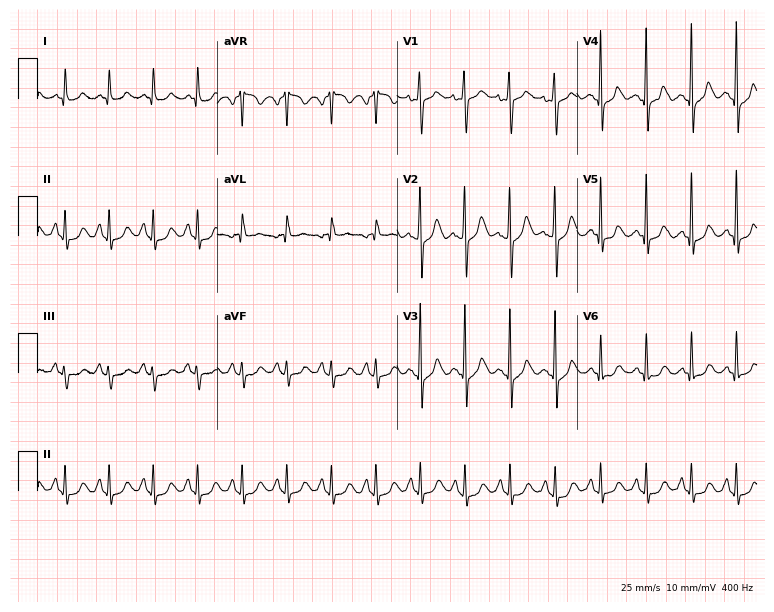
Resting 12-lead electrocardiogram (7.3-second recording at 400 Hz). Patient: a female, 54 years old. The tracing shows sinus tachycardia (a sinus rate of 100 beats per minute or more).